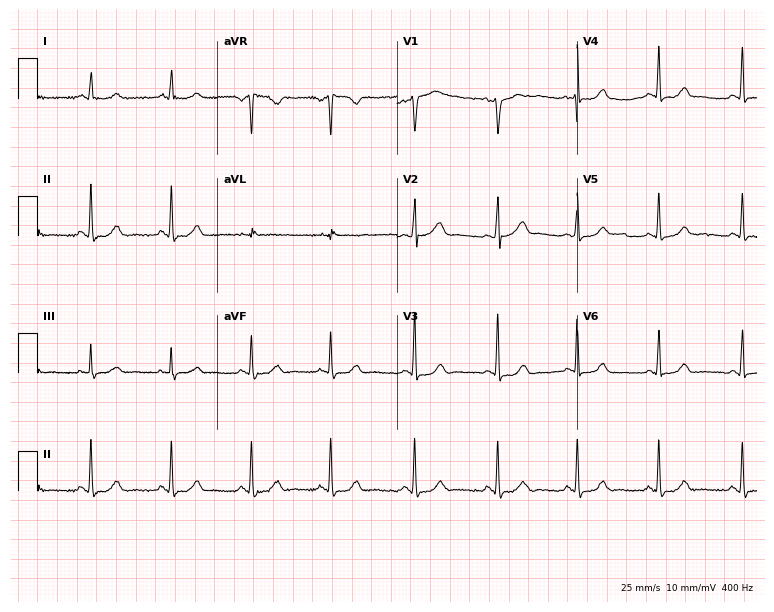
12-lead ECG from a 37-year-old female patient (7.3-second recording at 400 Hz). No first-degree AV block, right bundle branch block, left bundle branch block, sinus bradycardia, atrial fibrillation or sinus tachycardia recorded for this tracing.